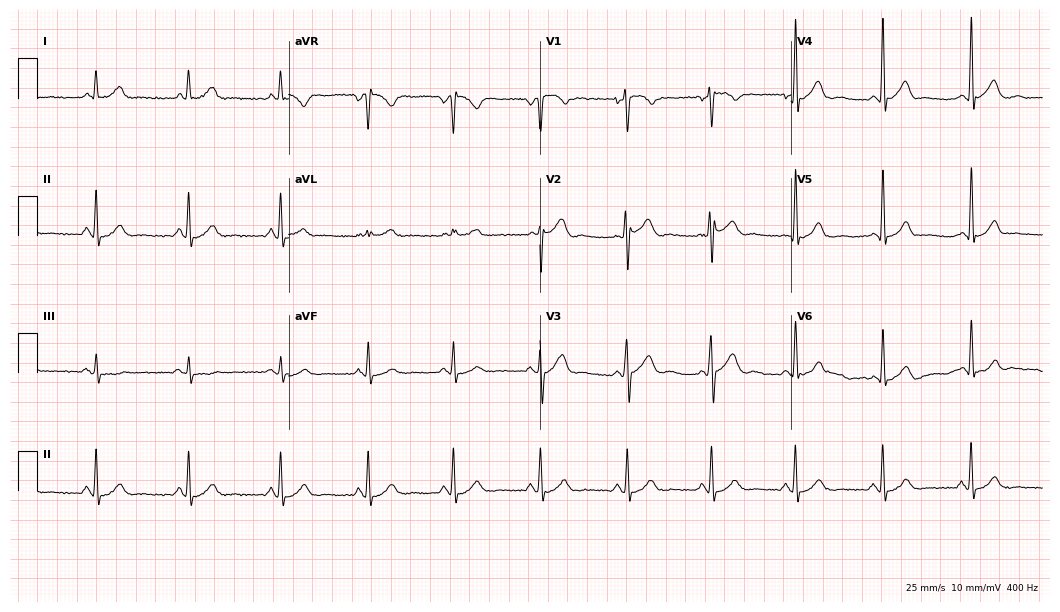
Resting 12-lead electrocardiogram (10.2-second recording at 400 Hz). Patient: a 28-year-old man. None of these six findings is recorded: first-degree AV block, right bundle branch block, left bundle branch block, sinus bradycardia, atrial fibrillation, sinus tachycardia. Findings outside these six are not listed.